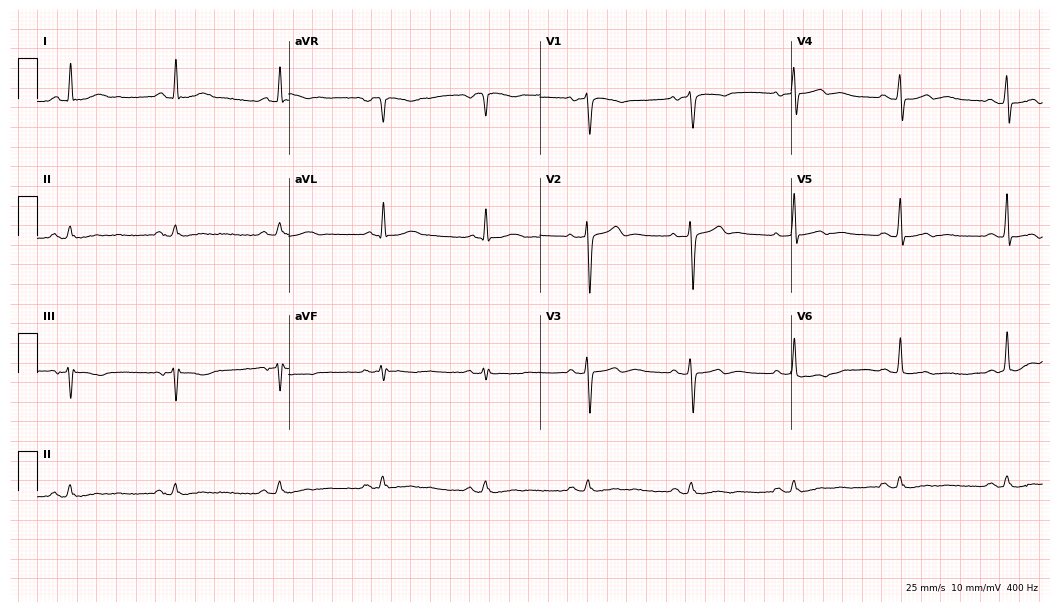
Standard 12-lead ECG recorded from a male, 67 years old. None of these six findings is recorded: first-degree AV block, right bundle branch block, left bundle branch block, sinus bradycardia, atrial fibrillation, sinus tachycardia. Only these six findings were labelled.